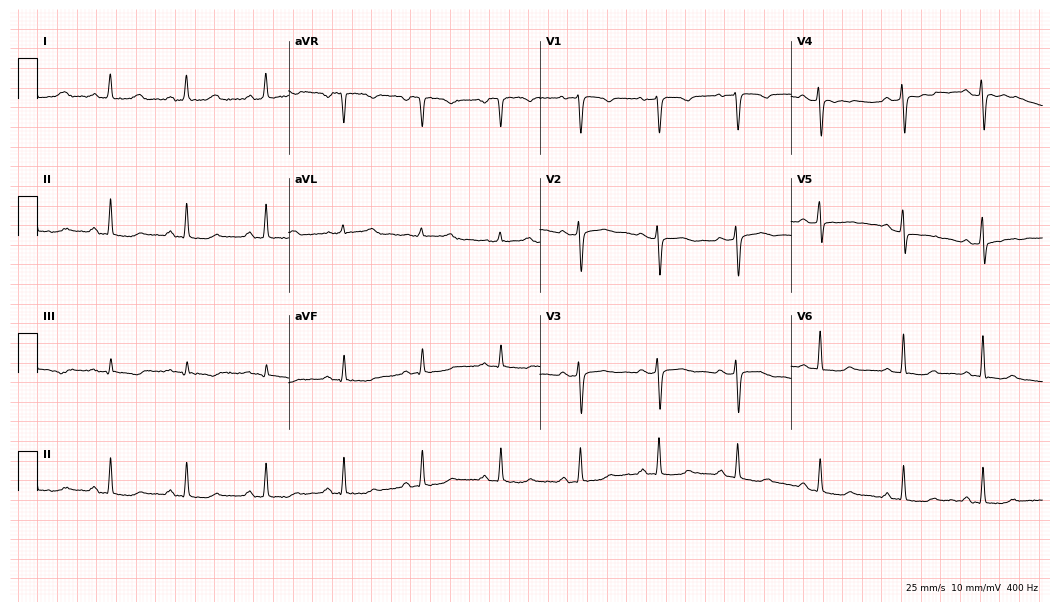
Standard 12-lead ECG recorded from a female patient, 44 years old. Read as a normal ECG.